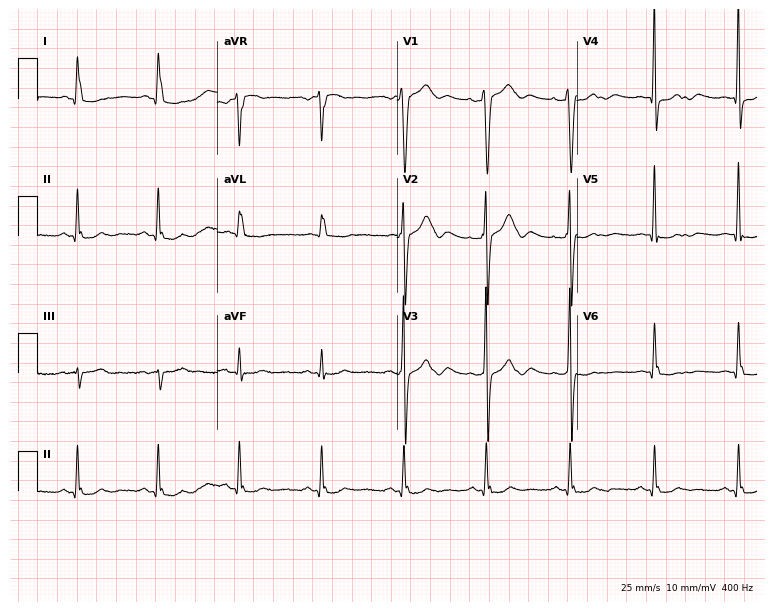
Standard 12-lead ECG recorded from a 79-year-old male (7.3-second recording at 400 Hz). None of these six findings is recorded: first-degree AV block, right bundle branch block (RBBB), left bundle branch block (LBBB), sinus bradycardia, atrial fibrillation (AF), sinus tachycardia.